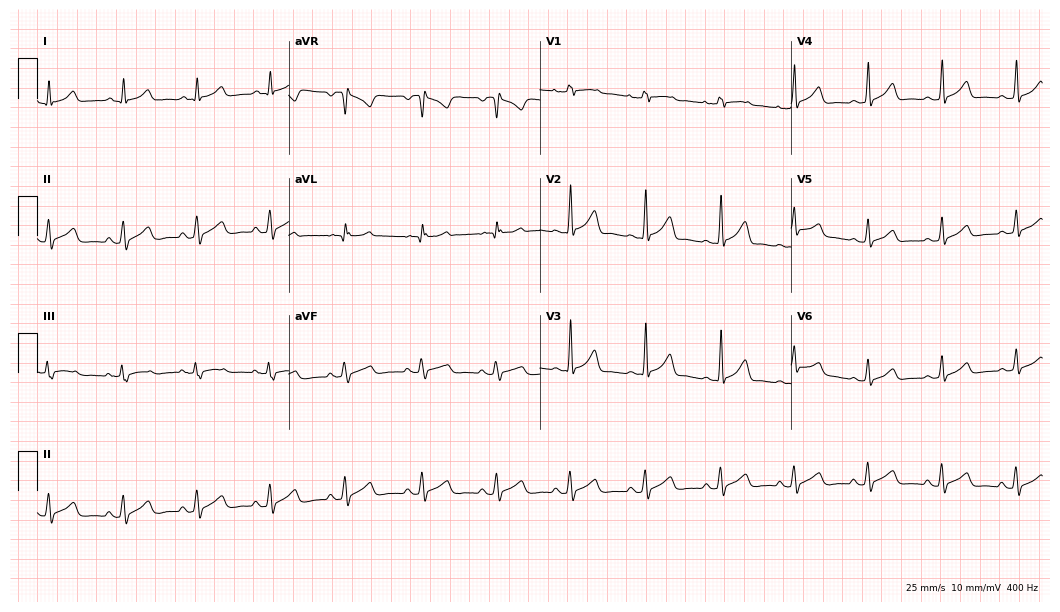
12-lead ECG (10.2-second recording at 400 Hz) from a 49-year-old woman. Labelled as a normal ECG.